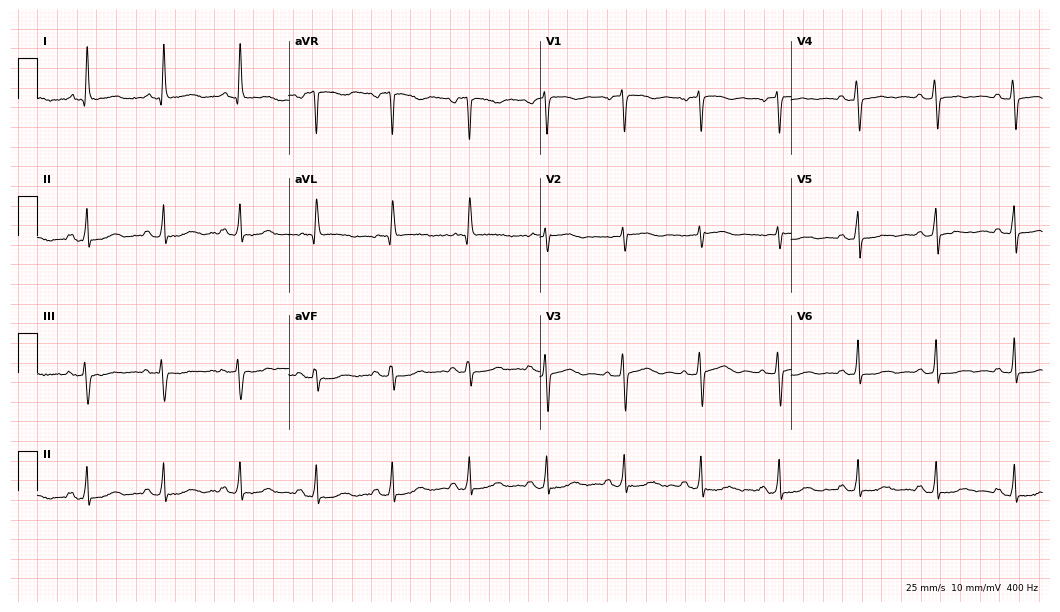
ECG (10.2-second recording at 400 Hz) — a female, 72 years old. Screened for six findings — first-degree AV block, right bundle branch block, left bundle branch block, sinus bradycardia, atrial fibrillation, sinus tachycardia — none is recorded.